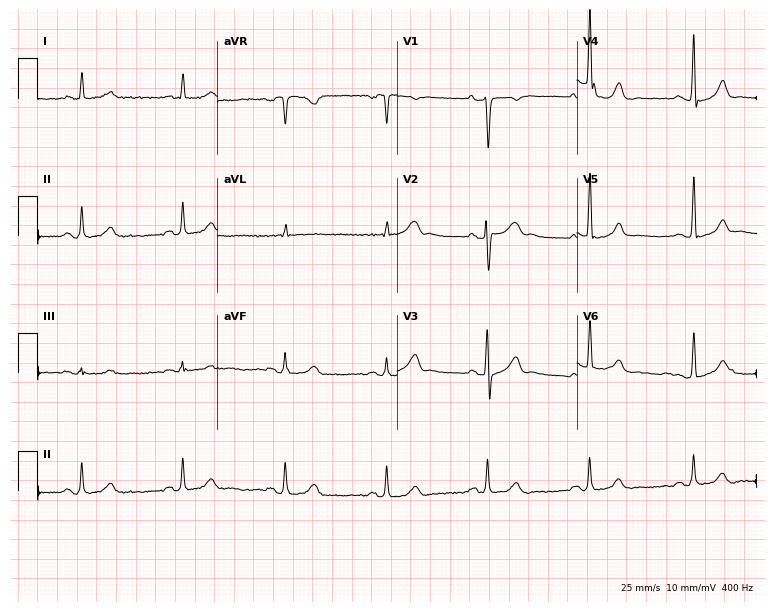
12-lead ECG (7.3-second recording at 400 Hz) from a 67-year-old man. Screened for six findings — first-degree AV block, right bundle branch block, left bundle branch block, sinus bradycardia, atrial fibrillation, sinus tachycardia — none is recorded. Findings outside these six are not listed.